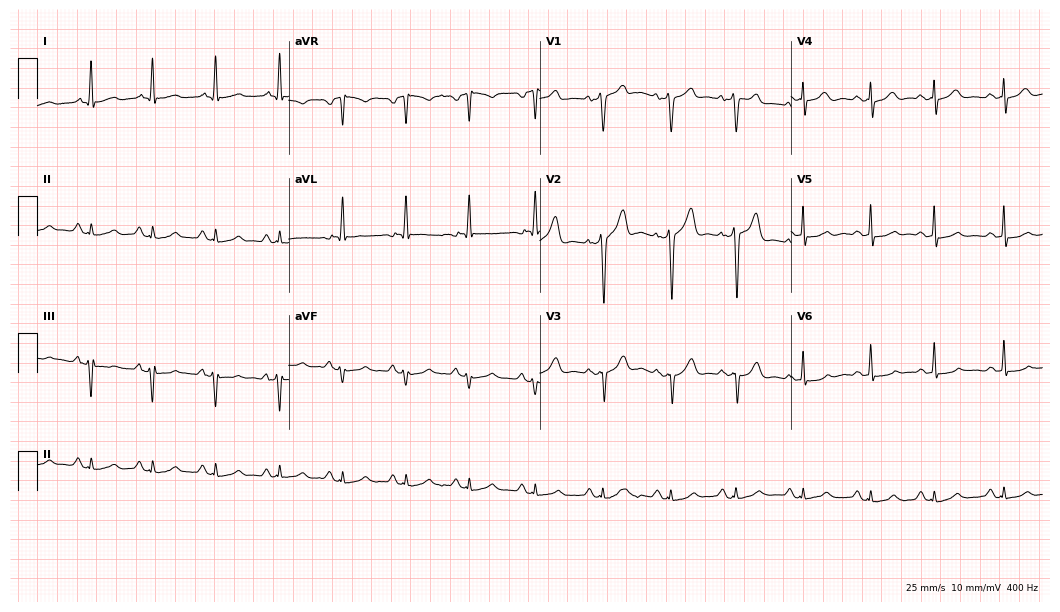
Resting 12-lead electrocardiogram (10.2-second recording at 400 Hz). Patient: a male, 63 years old. None of these six findings is recorded: first-degree AV block, right bundle branch block, left bundle branch block, sinus bradycardia, atrial fibrillation, sinus tachycardia.